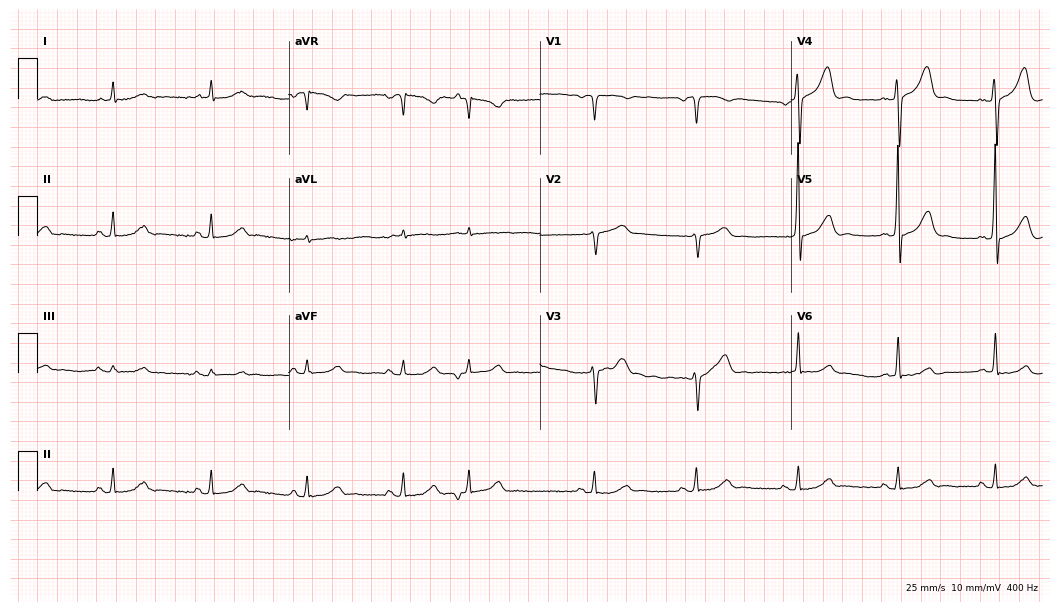
12-lead ECG from a male, 74 years old. Labelled as a normal ECG.